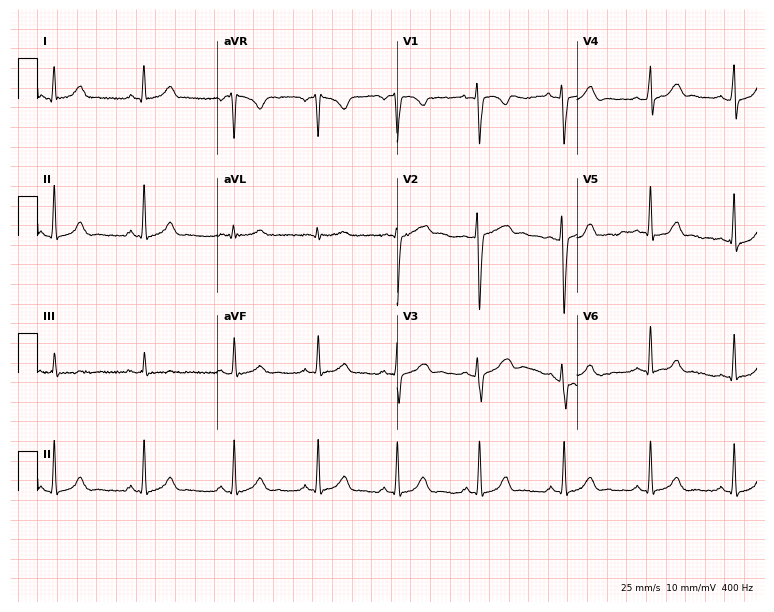
ECG — a 30-year-old woman. Labelled as a normal ECG.